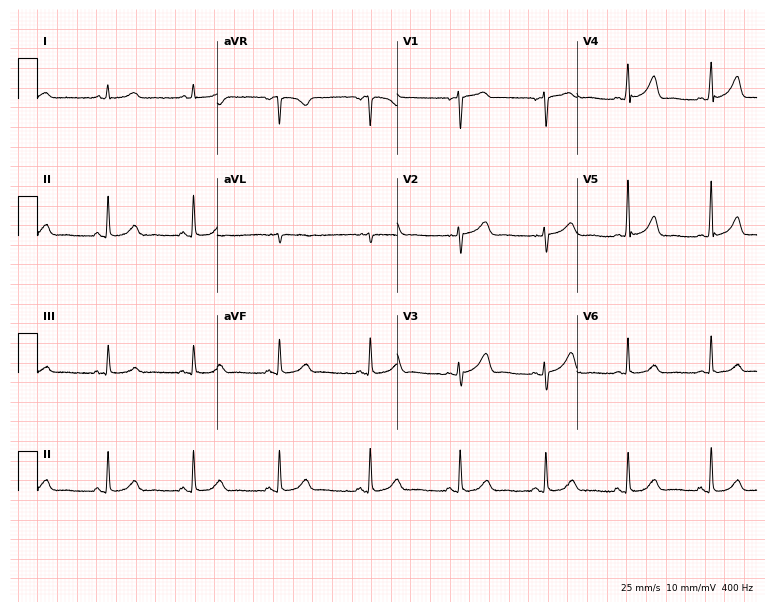
Standard 12-lead ECG recorded from a 56-year-old female patient. Read as a normal ECG.